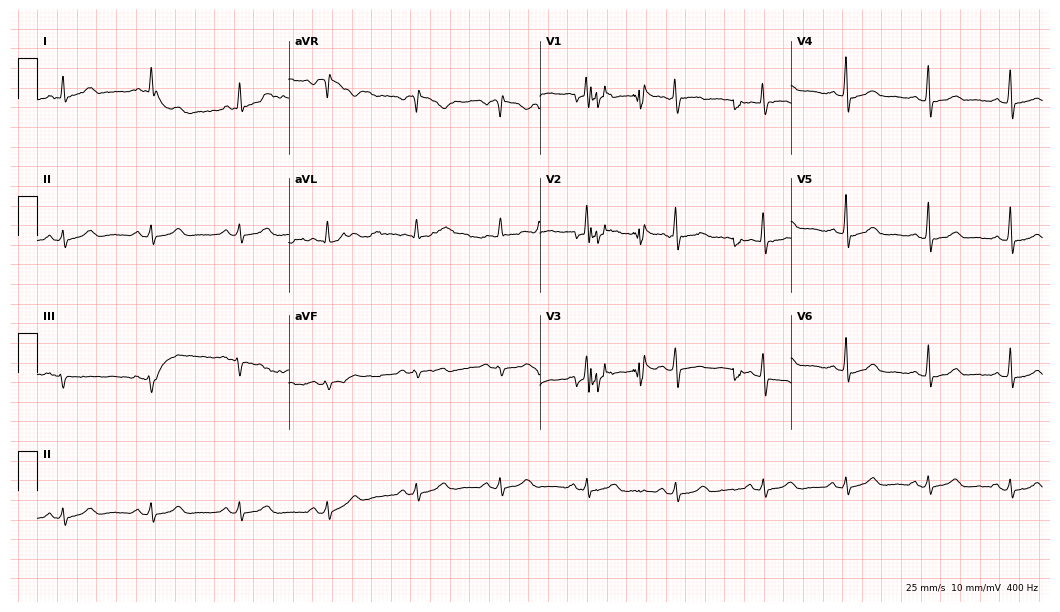
Electrocardiogram (10.2-second recording at 400 Hz), a 44-year-old female patient. Overall reading on record: normal ECG.